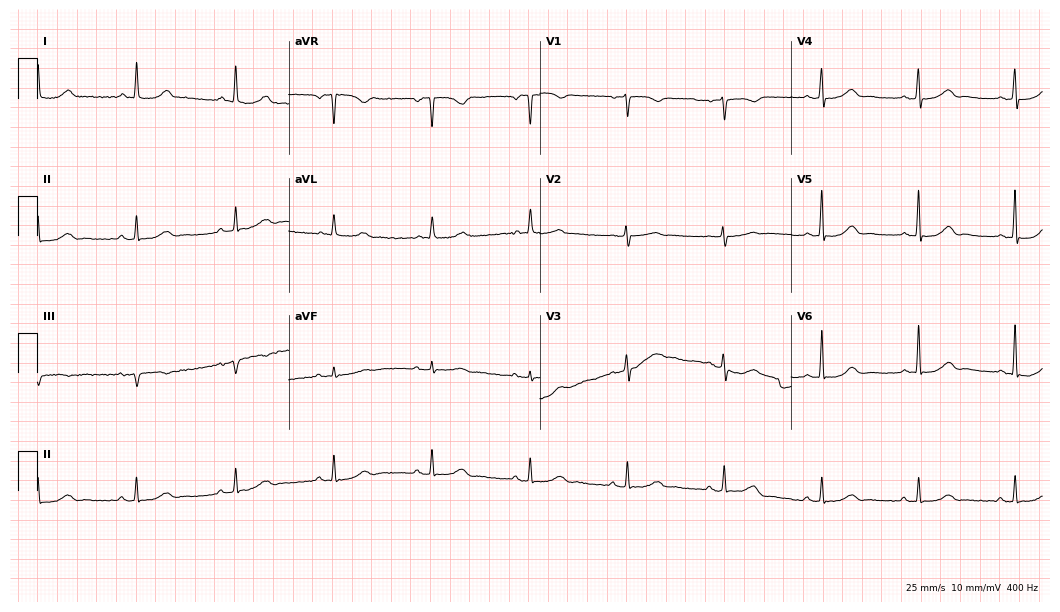
Electrocardiogram (10.2-second recording at 400 Hz), a female patient, 60 years old. Overall reading on record: normal ECG.